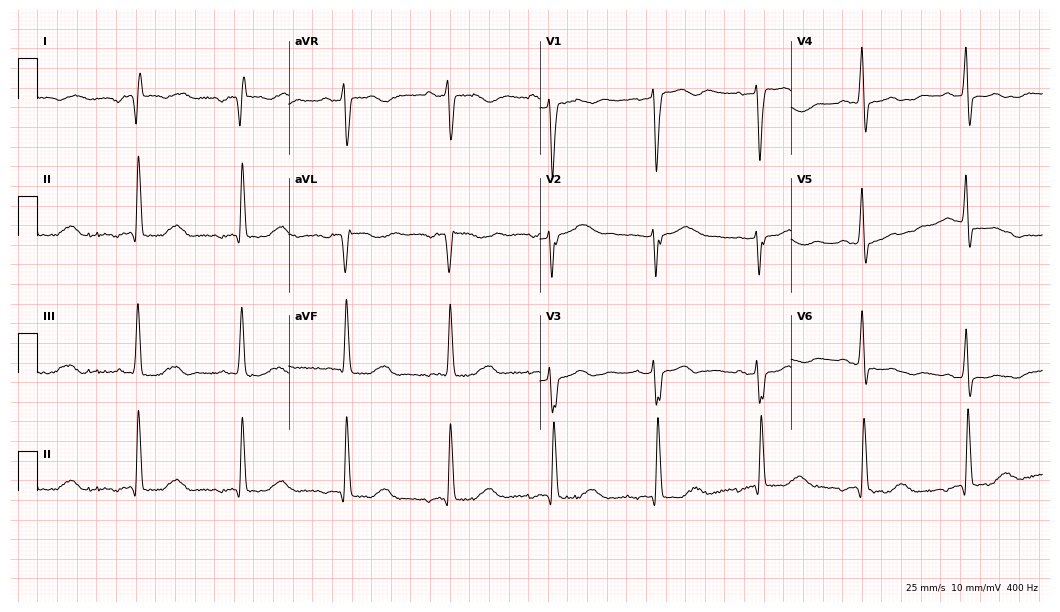
ECG (10.2-second recording at 400 Hz) — an 83-year-old female patient. Screened for six findings — first-degree AV block, right bundle branch block, left bundle branch block, sinus bradycardia, atrial fibrillation, sinus tachycardia — none is recorded.